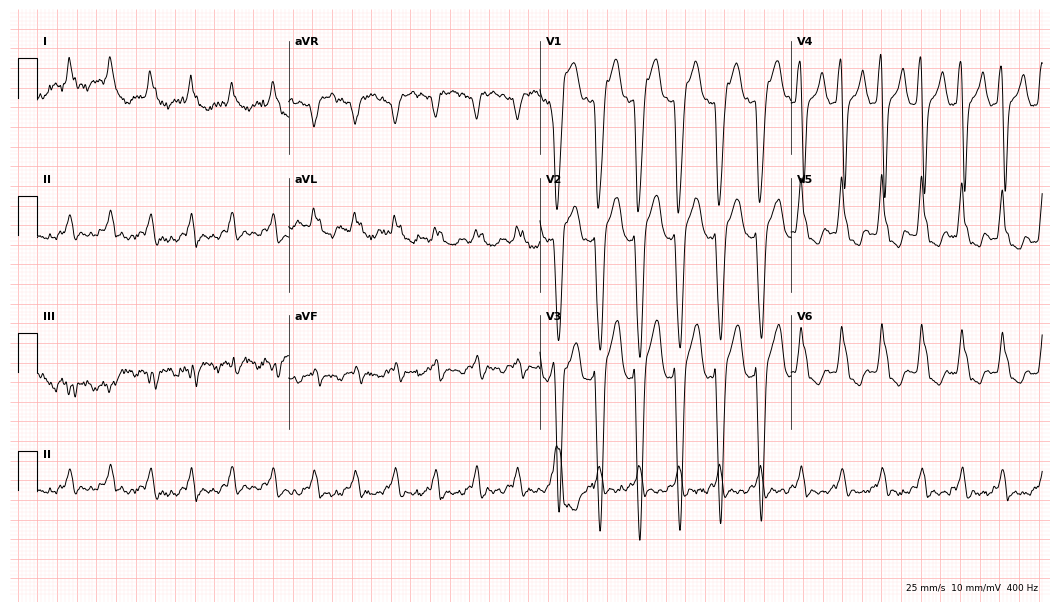
Electrocardiogram (10.2-second recording at 400 Hz), a 73-year-old man. Interpretation includes left bundle branch block, sinus tachycardia (a sinus rate of 100 beats per minute or more).